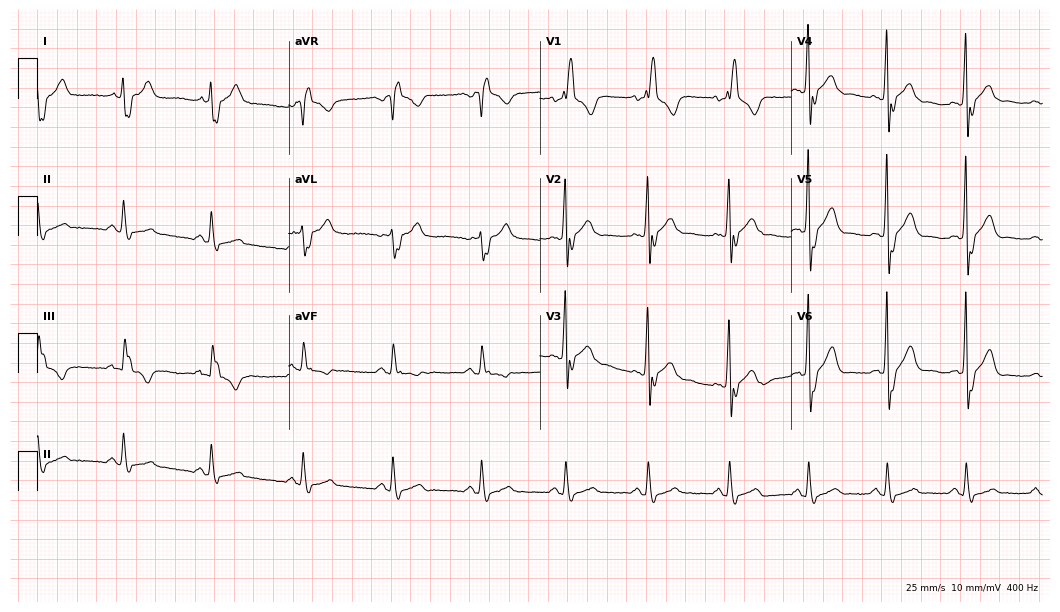
12-lead ECG from a 44-year-old male patient (10.2-second recording at 400 Hz). Shows right bundle branch block (RBBB).